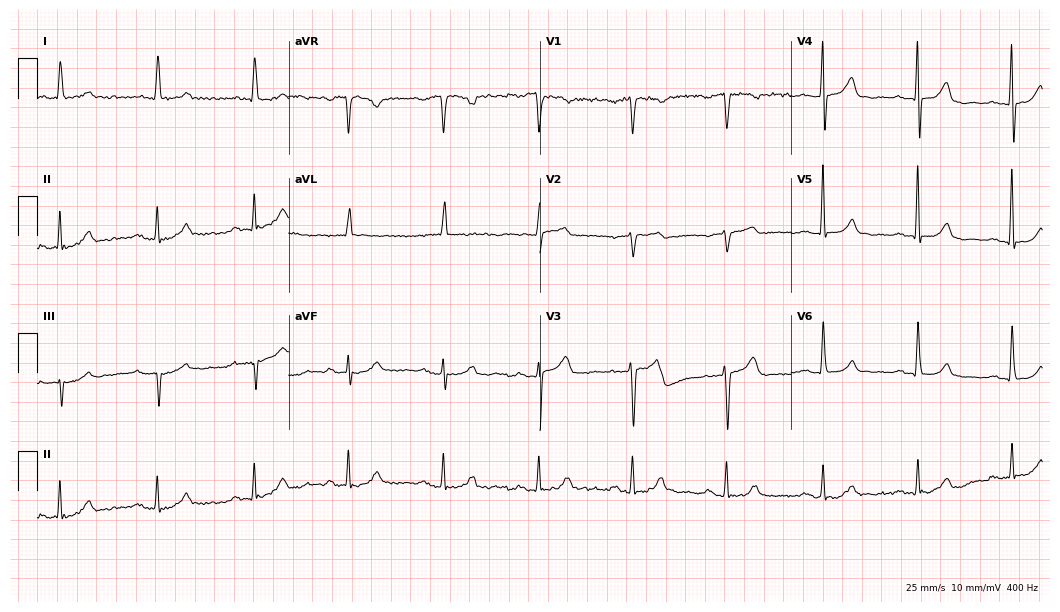
12-lead ECG from a 75-year-old female patient. Recorded interpretation: within normal limits.